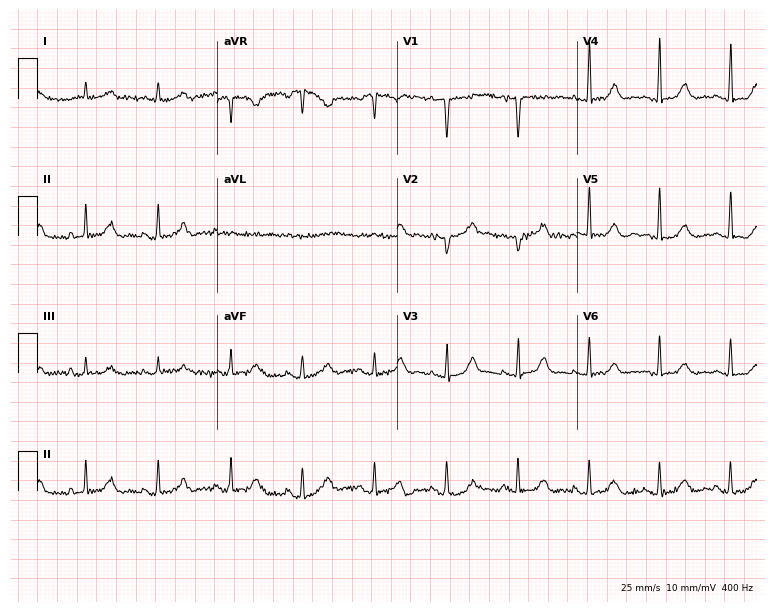
Electrocardiogram (7.3-second recording at 400 Hz), a 65-year-old woman. Of the six screened findings (first-degree AV block, right bundle branch block, left bundle branch block, sinus bradycardia, atrial fibrillation, sinus tachycardia), none is recorded. Other findings, if any, are not listed.